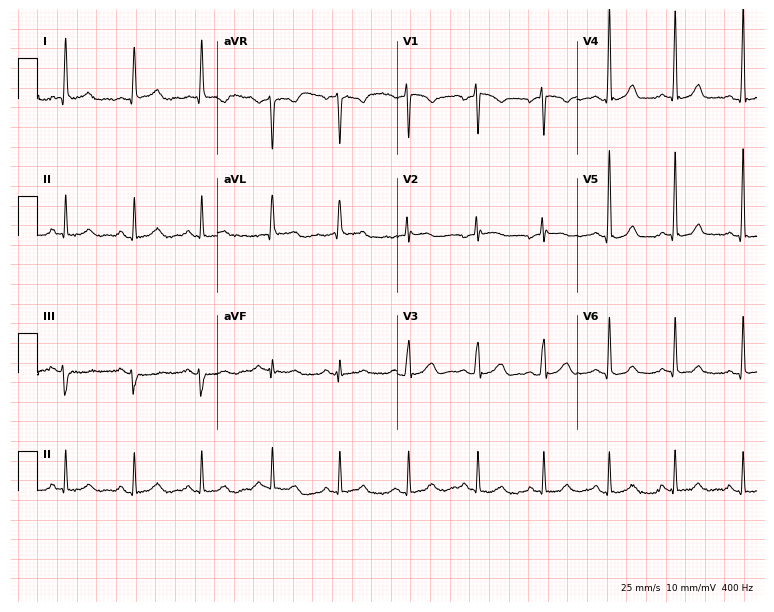
12-lead ECG from a 54-year-old woman (7.3-second recording at 400 Hz). Recorded interpretation: within normal limits.